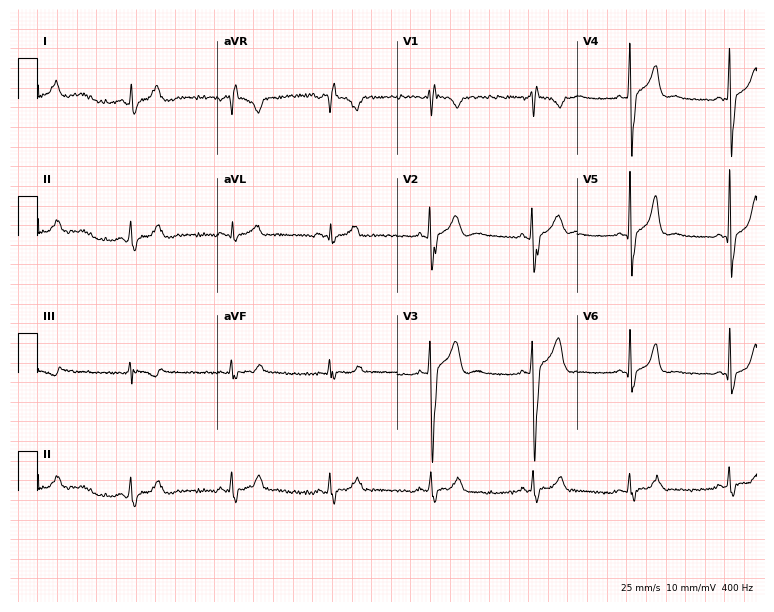
12-lead ECG from a 22-year-old male patient (7.3-second recording at 400 Hz). No first-degree AV block, right bundle branch block, left bundle branch block, sinus bradycardia, atrial fibrillation or sinus tachycardia recorded for this tracing. Findings outside these six are not listed.